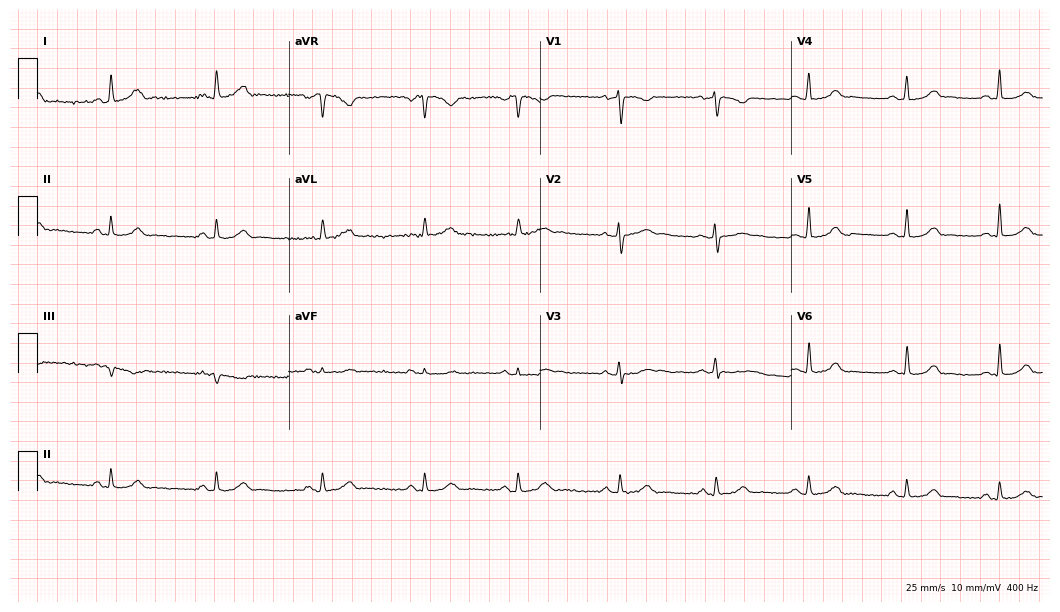
12-lead ECG (10.2-second recording at 400 Hz) from a female patient, 37 years old. Labelled as a normal ECG.